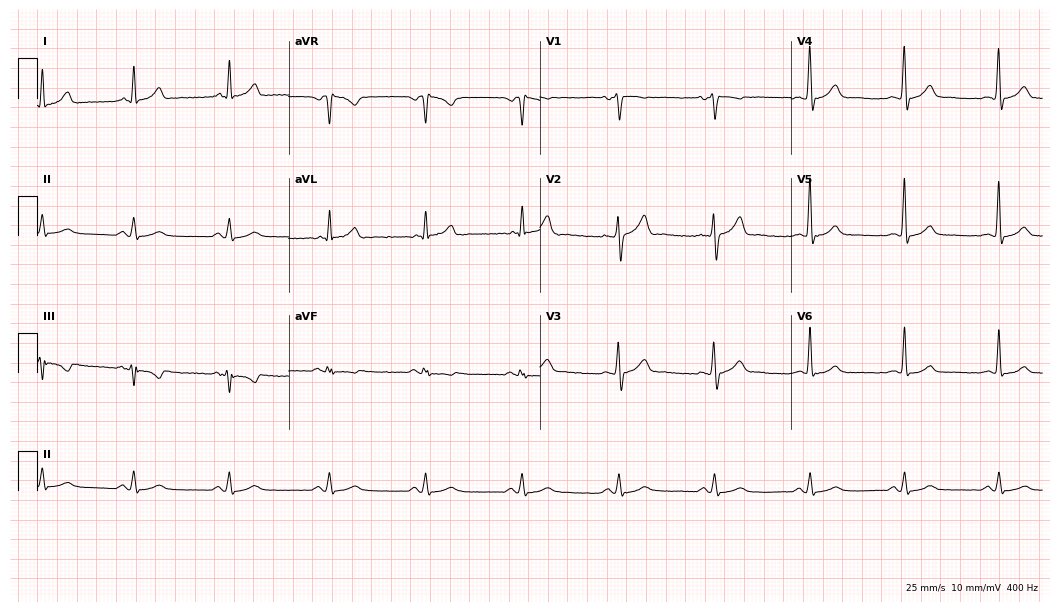
ECG — a male, 46 years old. Labelled as a normal ECG.